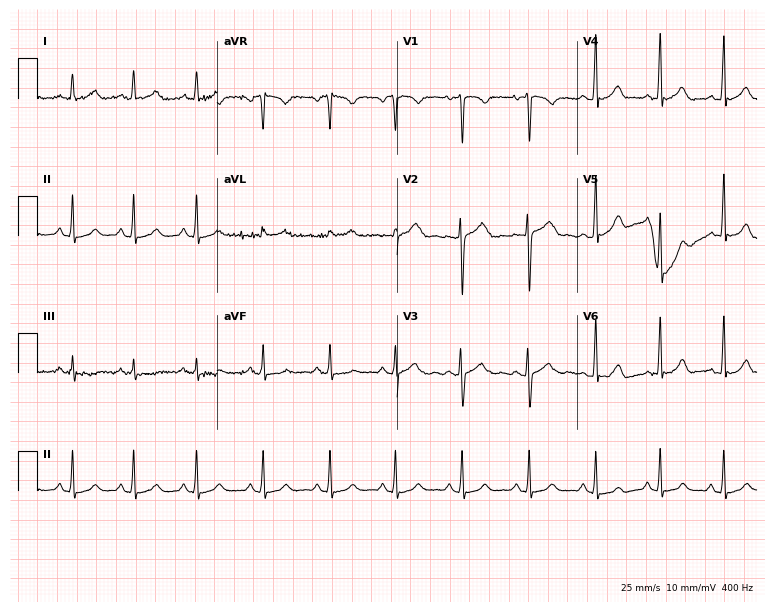
Resting 12-lead electrocardiogram (7.3-second recording at 400 Hz). Patient: a female, 19 years old. Read as a normal ECG.